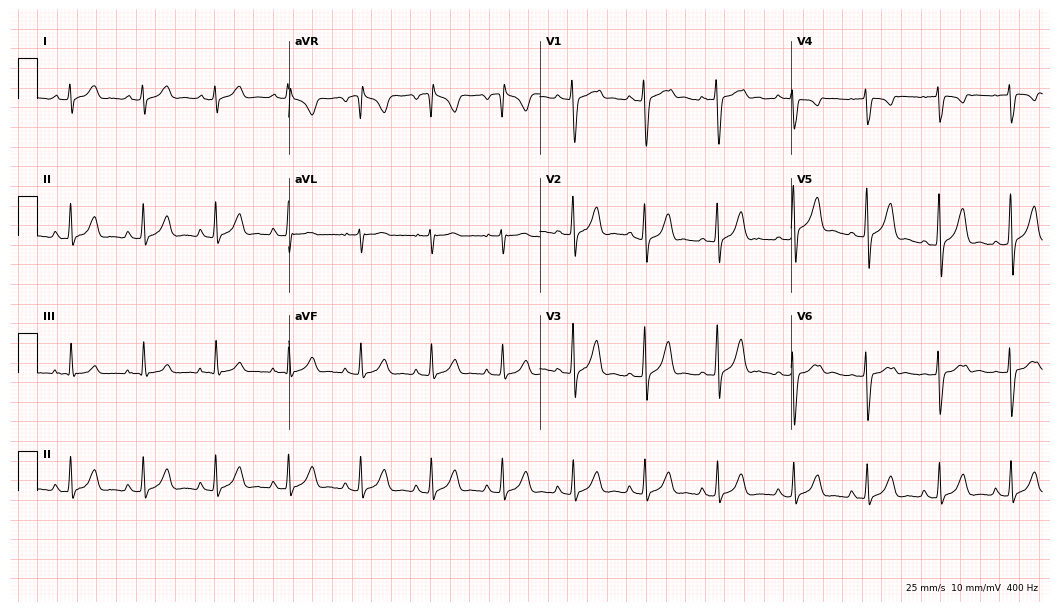
12-lead ECG from a 23-year-old female. Screened for six findings — first-degree AV block, right bundle branch block, left bundle branch block, sinus bradycardia, atrial fibrillation, sinus tachycardia — none is recorded. Only these six findings were labelled.